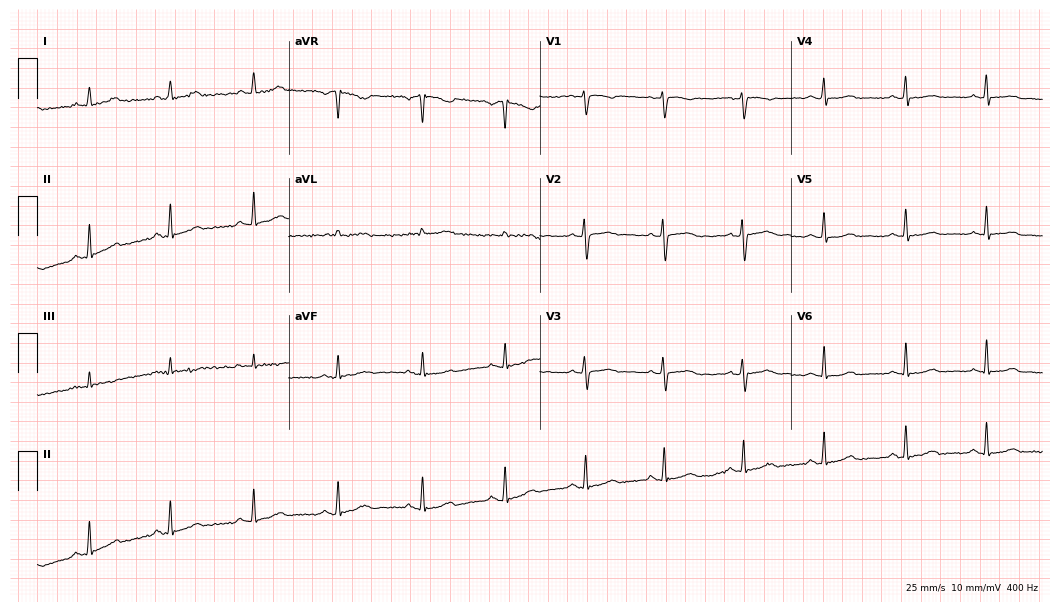
Electrocardiogram, a female patient, 44 years old. Overall reading on record: normal ECG.